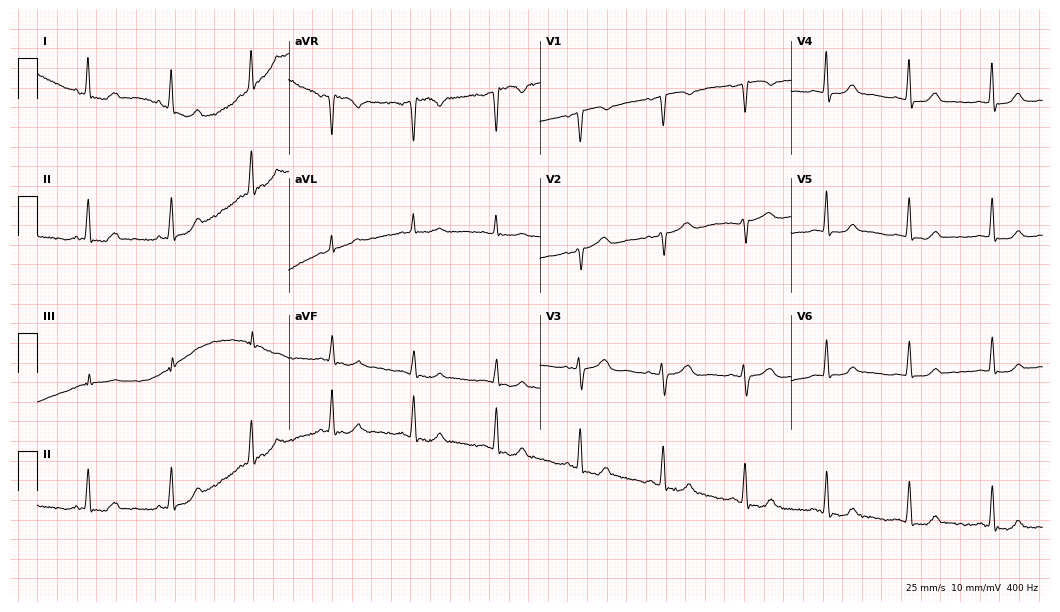
12-lead ECG from a female patient, 48 years old (10.2-second recording at 400 Hz). Recorded interpretation: within normal limits.